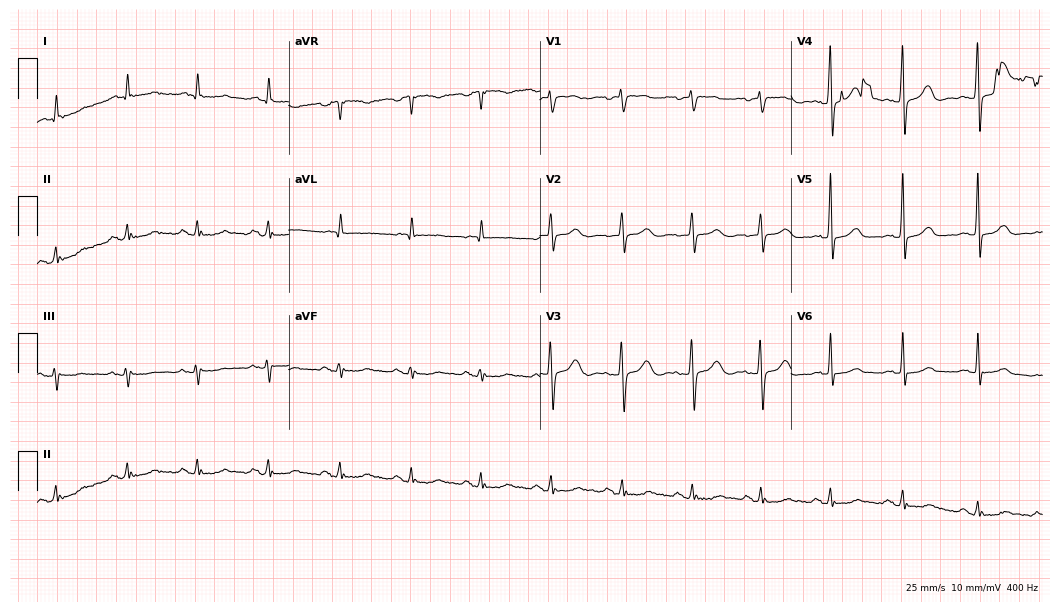
ECG — a female patient, 85 years old. Labelled as a normal ECG.